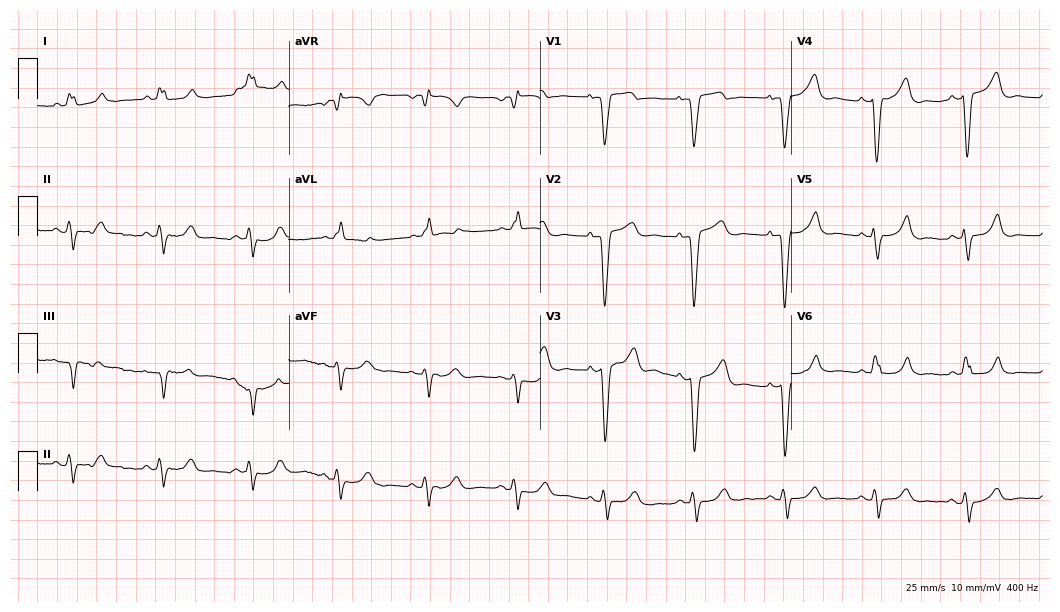
12-lead ECG from an 81-year-old woman (10.2-second recording at 400 Hz). Shows left bundle branch block (LBBB).